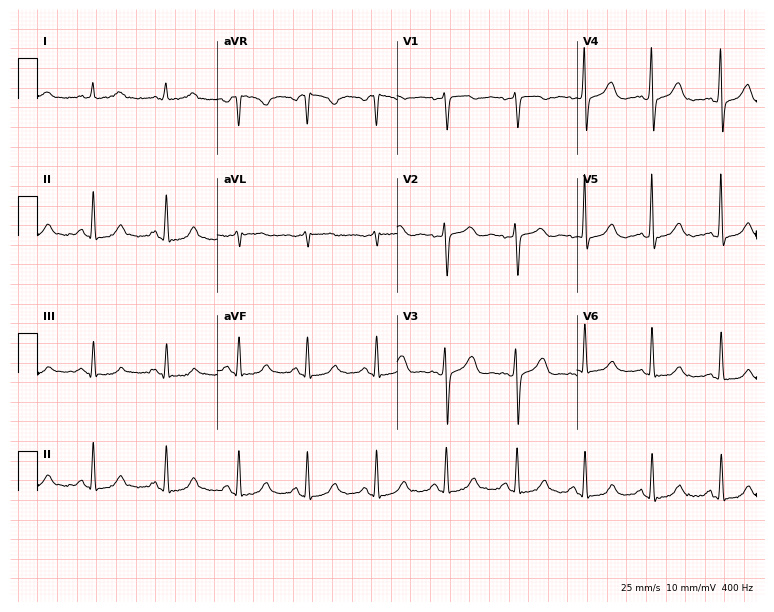
12-lead ECG from a woman, 69 years old. Screened for six findings — first-degree AV block, right bundle branch block, left bundle branch block, sinus bradycardia, atrial fibrillation, sinus tachycardia — none is recorded. Findings outside these six are not listed.